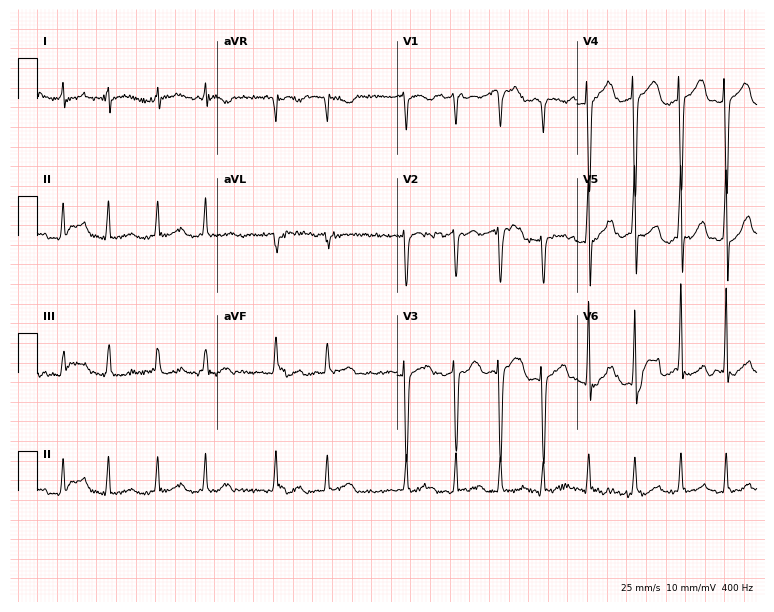
12-lead ECG from a 76-year-old female patient (7.3-second recording at 400 Hz). Shows atrial fibrillation.